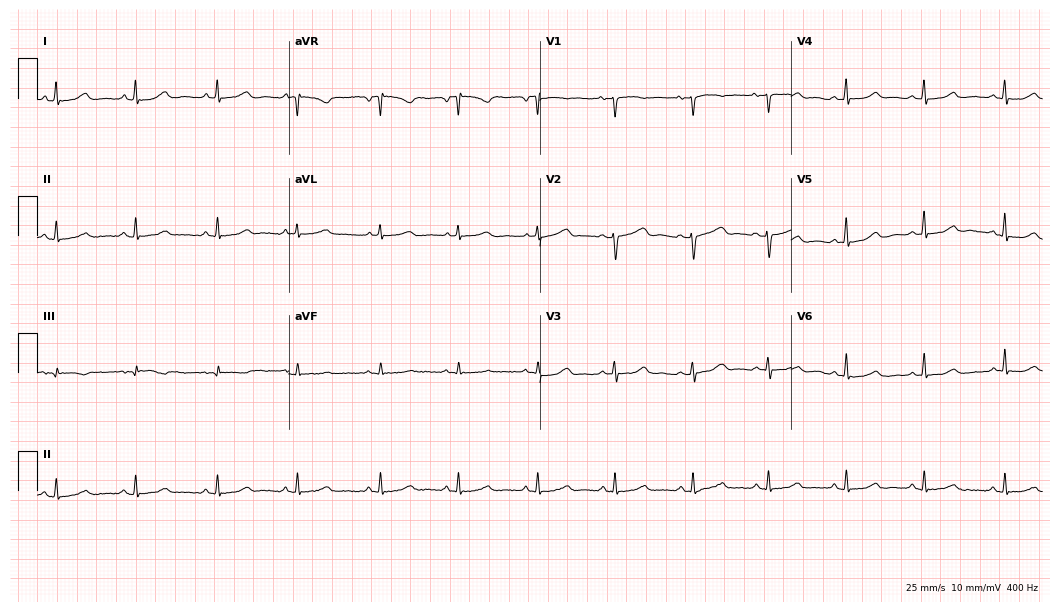
12-lead ECG from a 49-year-old female patient. Labelled as a normal ECG.